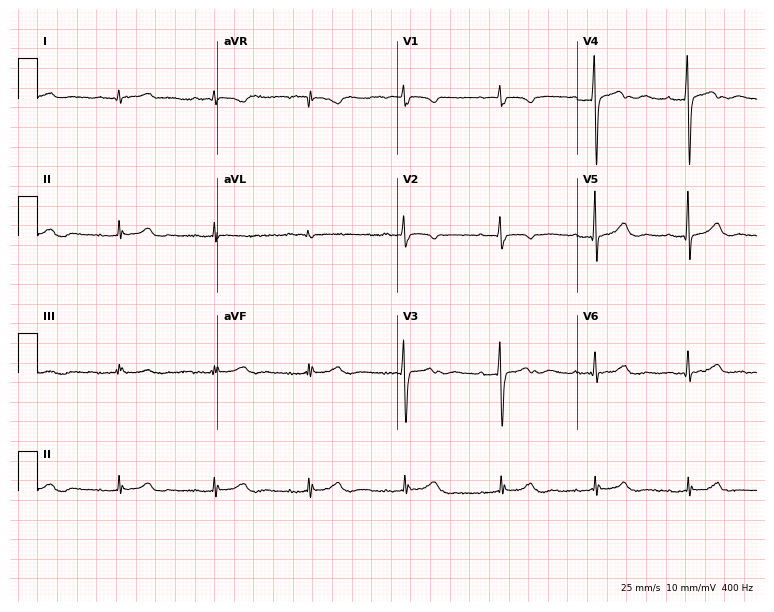
12-lead ECG from a male patient, 67 years old. Screened for six findings — first-degree AV block, right bundle branch block (RBBB), left bundle branch block (LBBB), sinus bradycardia, atrial fibrillation (AF), sinus tachycardia — none is recorded.